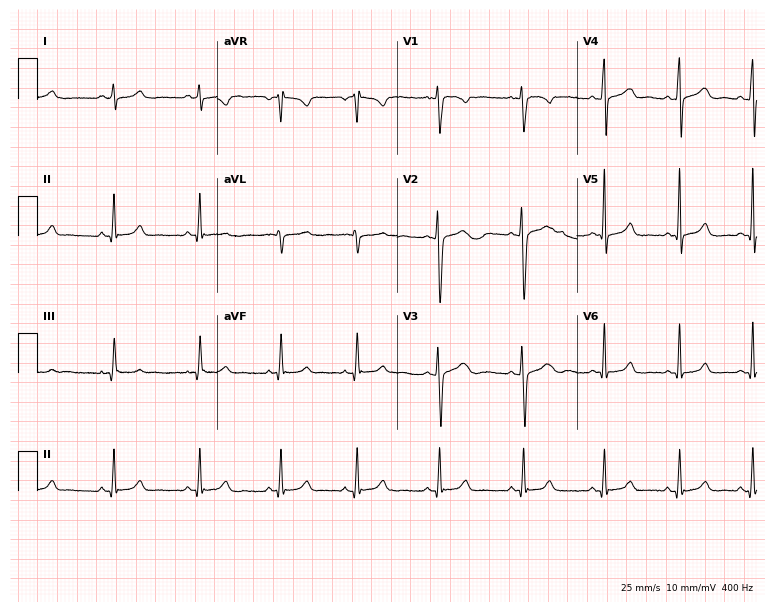
Standard 12-lead ECG recorded from a female, 19 years old. Read as a normal ECG.